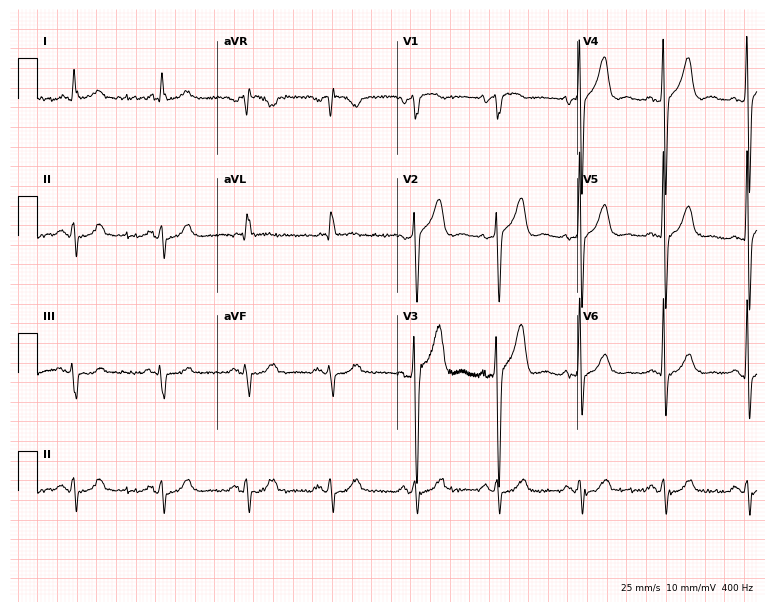
12-lead ECG from a male patient, 72 years old. No first-degree AV block, right bundle branch block, left bundle branch block, sinus bradycardia, atrial fibrillation or sinus tachycardia recorded for this tracing. Findings outside these six are not listed.